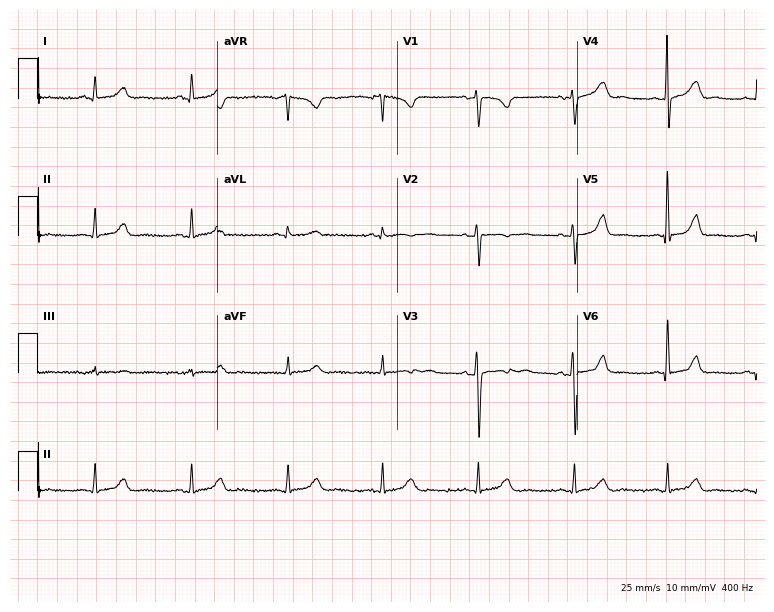
Electrocardiogram (7.3-second recording at 400 Hz), a 39-year-old woman. Of the six screened findings (first-degree AV block, right bundle branch block, left bundle branch block, sinus bradycardia, atrial fibrillation, sinus tachycardia), none is recorded. Other findings, if any, are not listed.